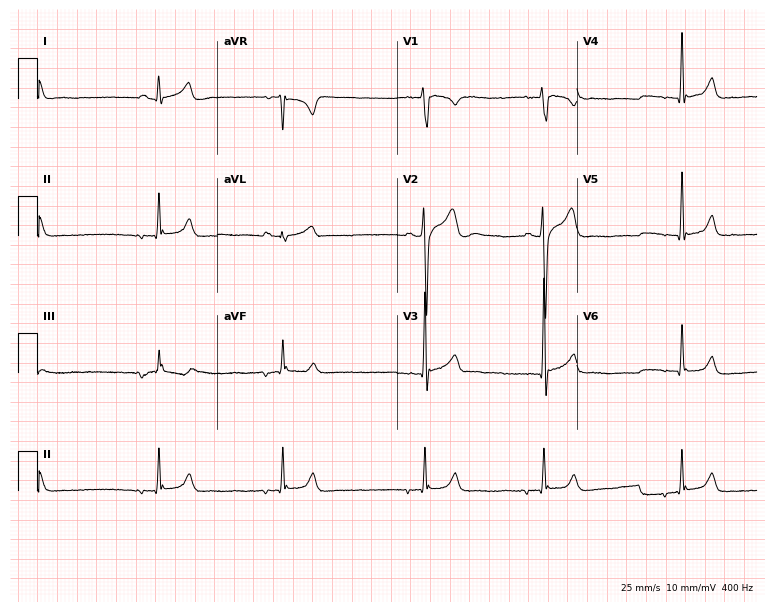
12-lead ECG from a male, 18 years old (7.3-second recording at 400 Hz). Shows sinus bradycardia (a sinus rate of 50 beats per minute or less).